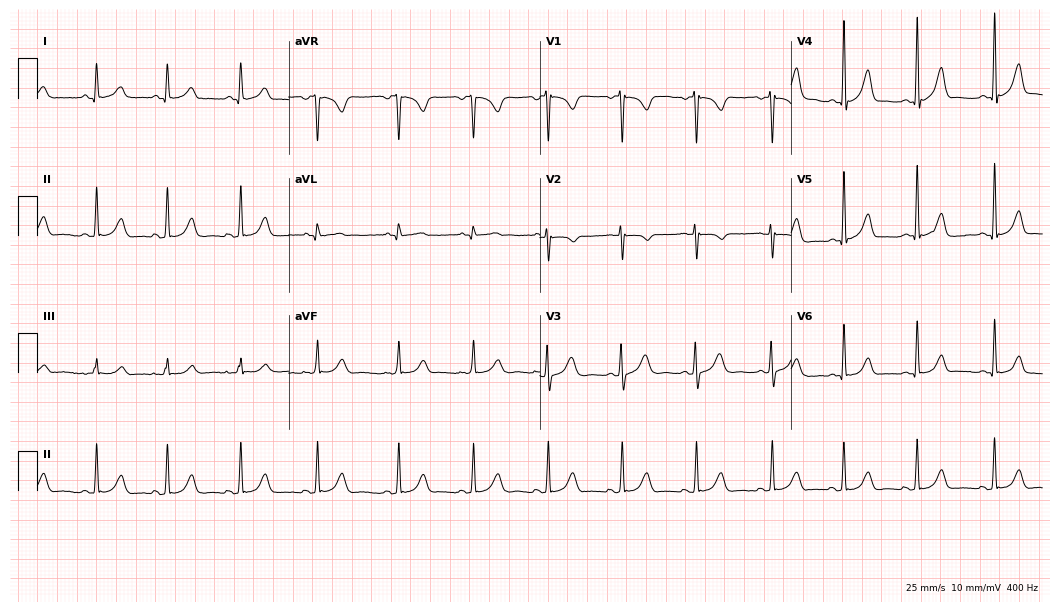
Standard 12-lead ECG recorded from a female patient, 17 years old (10.2-second recording at 400 Hz). Read as a normal ECG.